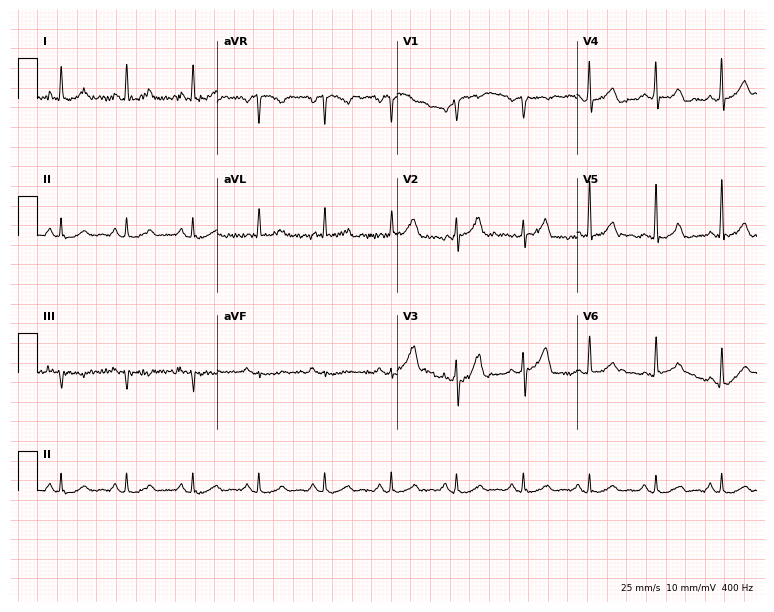
Electrocardiogram, a male patient, 64 years old. Of the six screened findings (first-degree AV block, right bundle branch block, left bundle branch block, sinus bradycardia, atrial fibrillation, sinus tachycardia), none is recorded. Other findings, if any, are not listed.